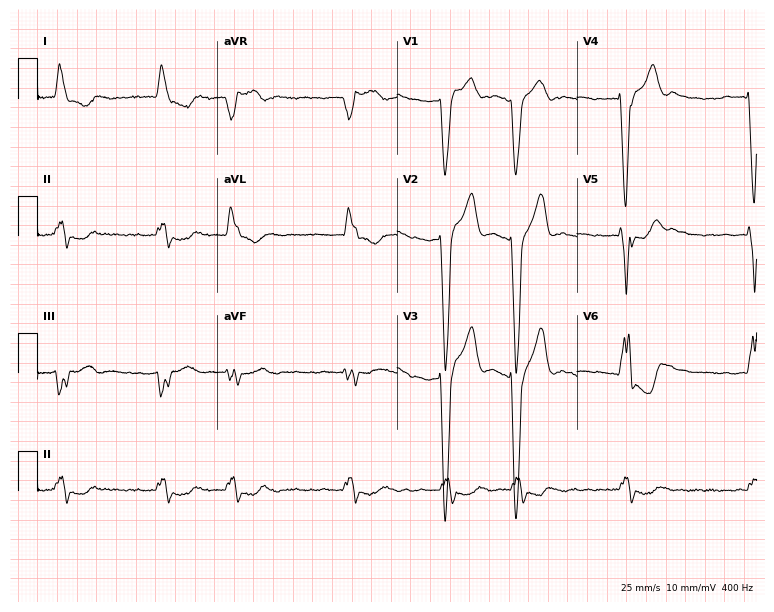
Resting 12-lead electrocardiogram. Patient: a male, 76 years old. The tracing shows left bundle branch block, atrial fibrillation.